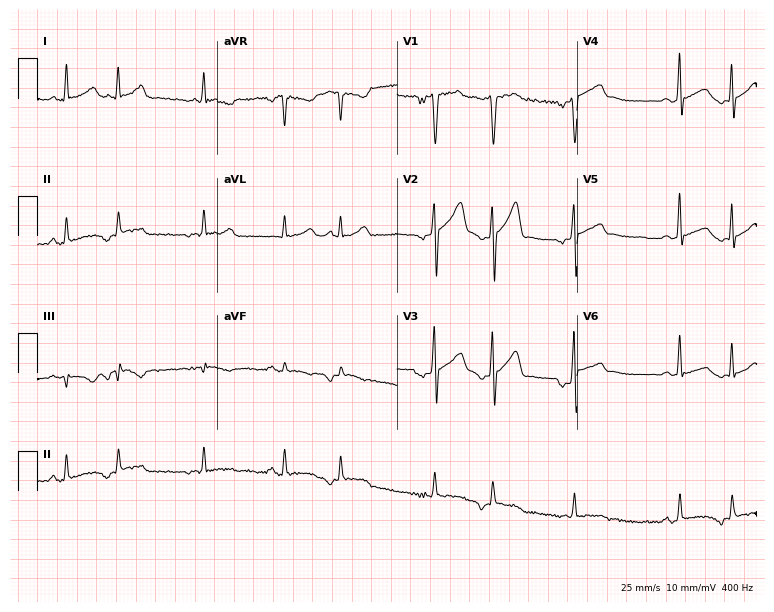
12-lead ECG from a 32-year-old man. No first-degree AV block, right bundle branch block, left bundle branch block, sinus bradycardia, atrial fibrillation or sinus tachycardia recorded for this tracing. Findings outside these six are not listed.